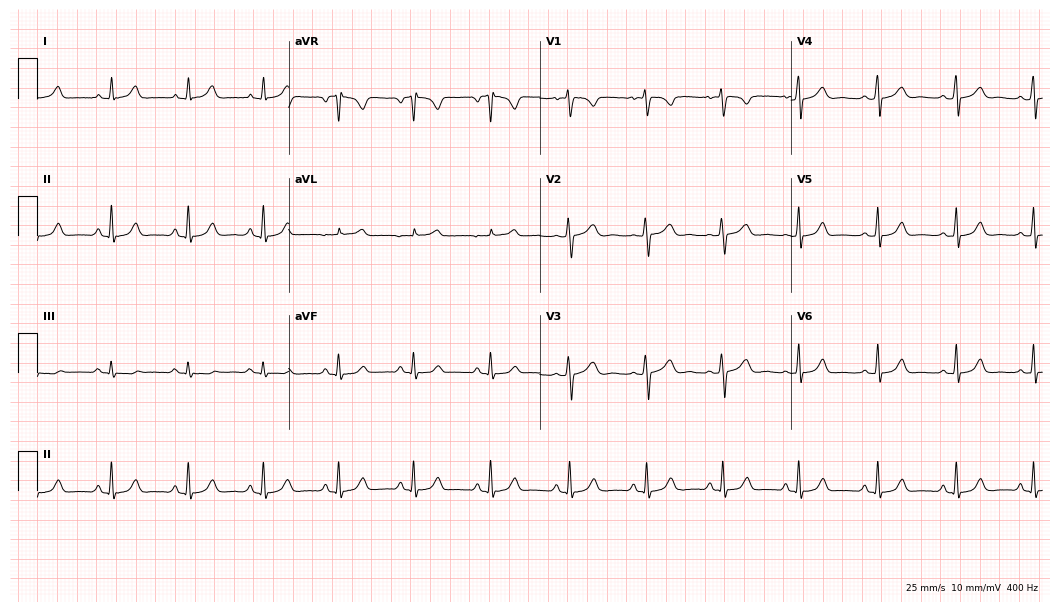
12-lead ECG from a 23-year-old female (10.2-second recording at 400 Hz). Recorded interpretation: within normal limits.